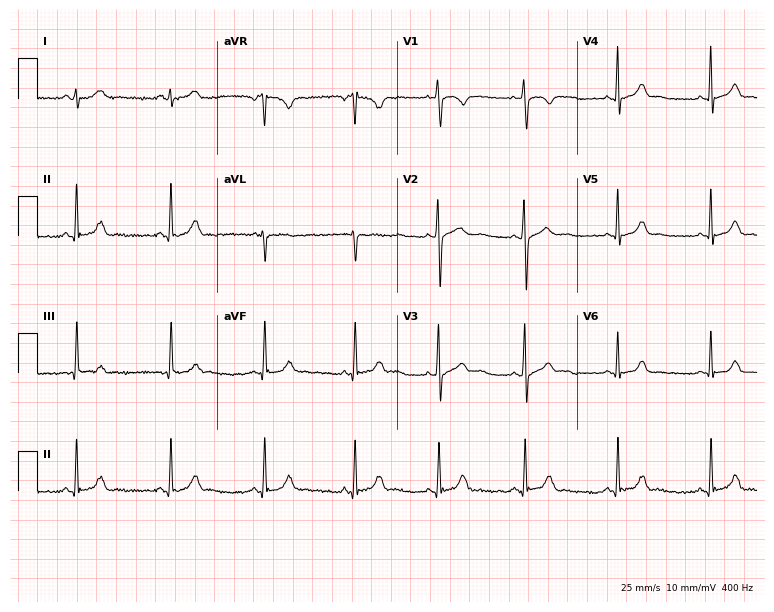
Standard 12-lead ECG recorded from a 24-year-old female patient (7.3-second recording at 400 Hz). None of these six findings is recorded: first-degree AV block, right bundle branch block (RBBB), left bundle branch block (LBBB), sinus bradycardia, atrial fibrillation (AF), sinus tachycardia.